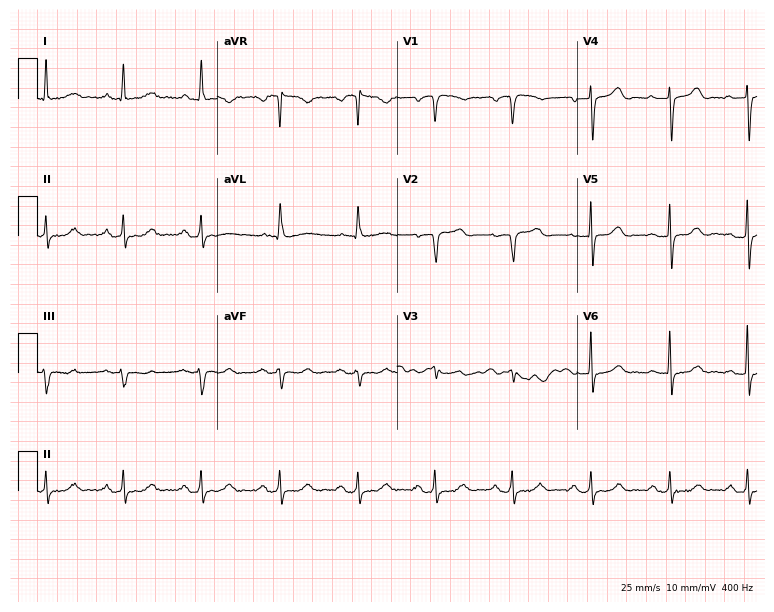
Resting 12-lead electrocardiogram (7.3-second recording at 400 Hz). Patient: an 80-year-old female. None of these six findings is recorded: first-degree AV block, right bundle branch block, left bundle branch block, sinus bradycardia, atrial fibrillation, sinus tachycardia.